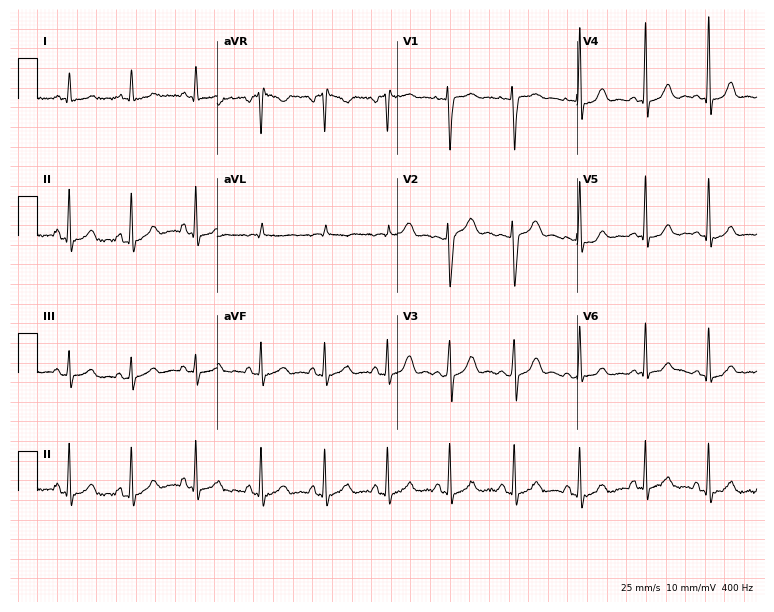
Standard 12-lead ECG recorded from a woman, 36 years old. None of these six findings is recorded: first-degree AV block, right bundle branch block, left bundle branch block, sinus bradycardia, atrial fibrillation, sinus tachycardia.